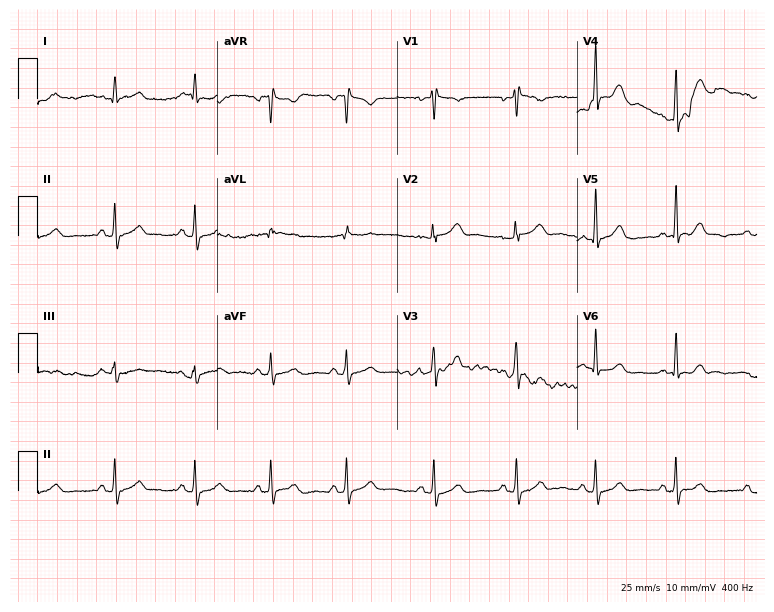
ECG (7.3-second recording at 400 Hz) — a 20-year-old female. Labelled as a normal ECG.